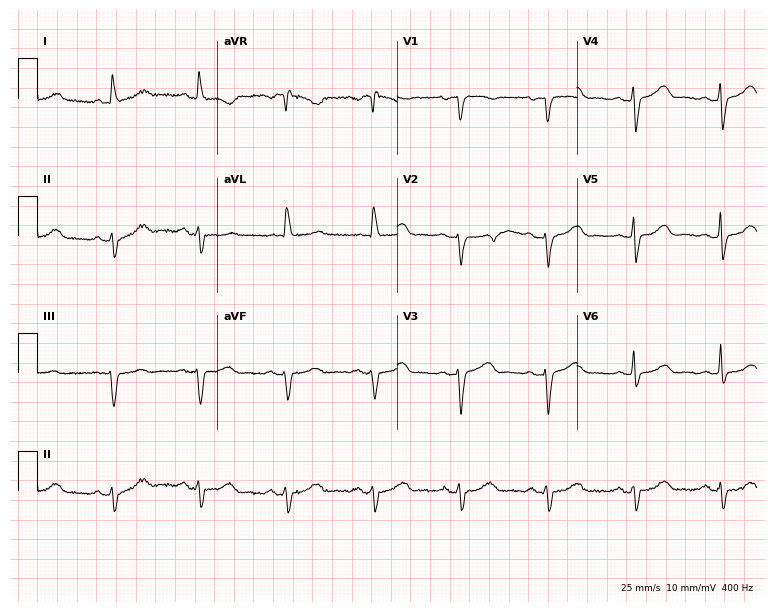
12-lead ECG from a woman, 79 years old. No first-degree AV block, right bundle branch block (RBBB), left bundle branch block (LBBB), sinus bradycardia, atrial fibrillation (AF) or sinus tachycardia recorded for this tracing. Findings outside these six are not listed.